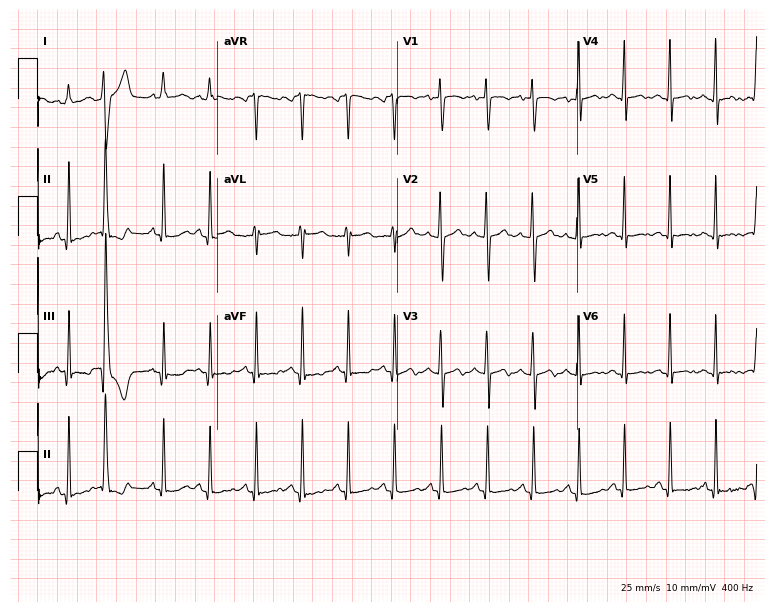
Resting 12-lead electrocardiogram (7.3-second recording at 400 Hz). Patient: a 21-year-old female. None of these six findings is recorded: first-degree AV block, right bundle branch block (RBBB), left bundle branch block (LBBB), sinus bradycardia, atrial fibrillation (AF), sinus tachycardia.